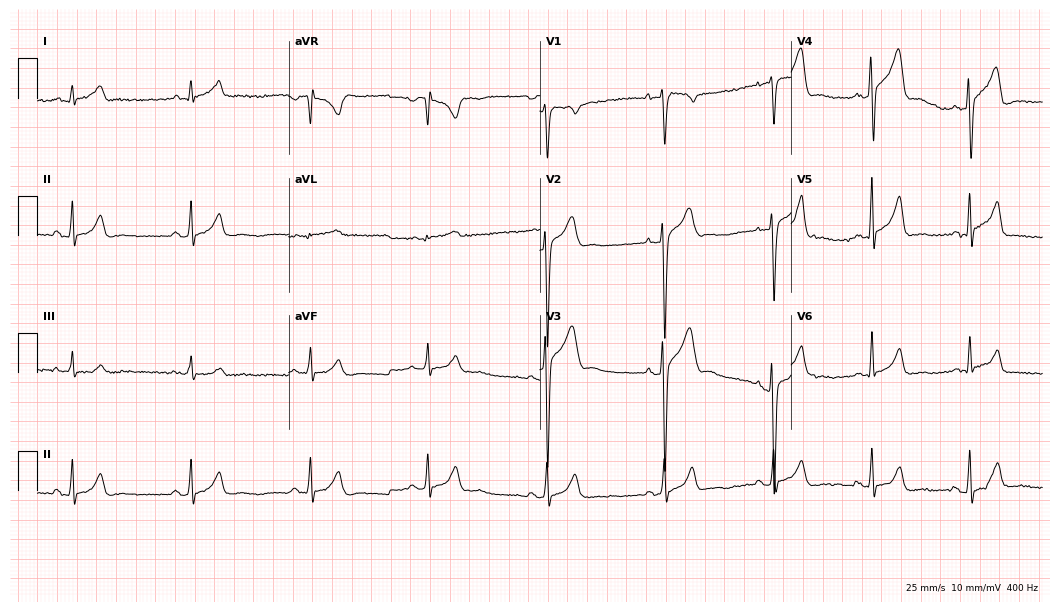
12-lead ECG from a 29-year-old male patient. No first-degree AV block, right bundle branch block, left bundle branch block, sinus bradycardia, atrial fibrillation or sinus tachycardia recorded for this tracing.